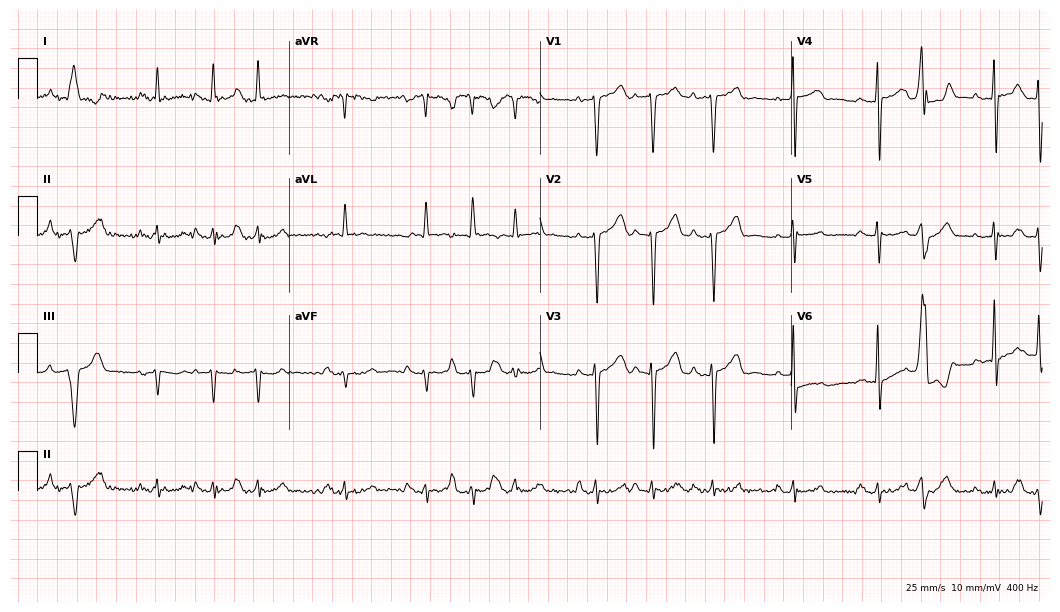
Resting 12-lead electrocardiogram. Patient: a 74-year-old man. Read as a normal ECG.